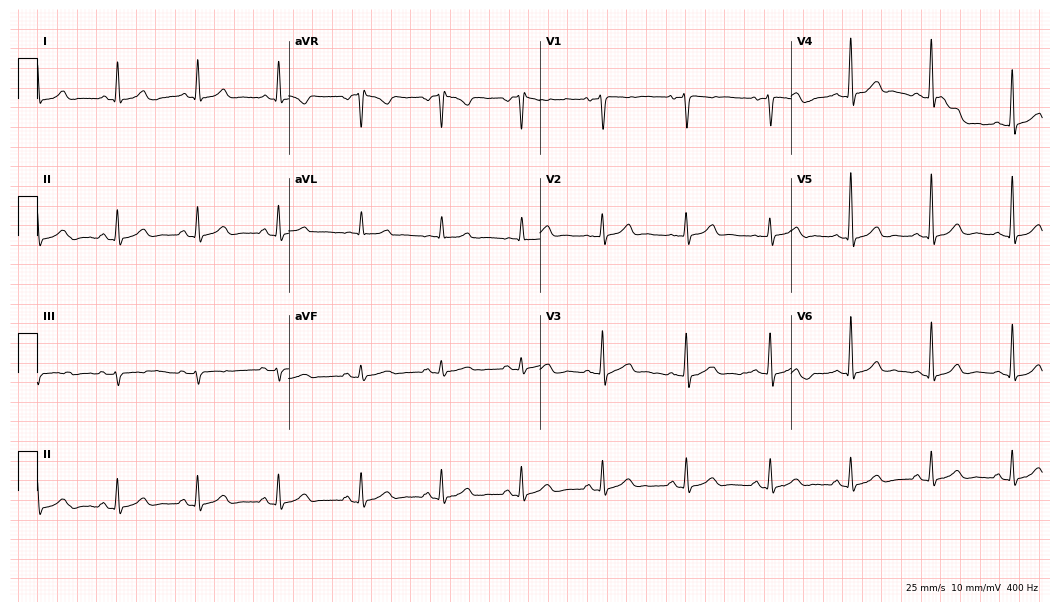
Electrocardiogram (10.2-second recording at 400 Hz), a 63-year-old man. Overall reading on record: normal ECG.